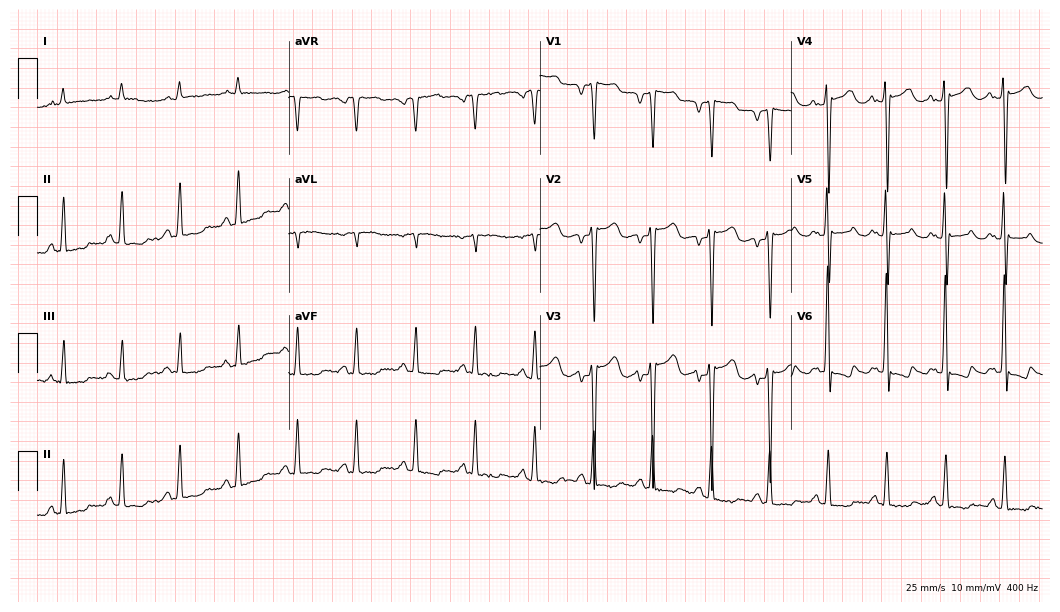
Electrocardiogram, a female, 74 years old. Interpretation includes sinus tachycardia (a sinus rate of 100 beats per minute or more).